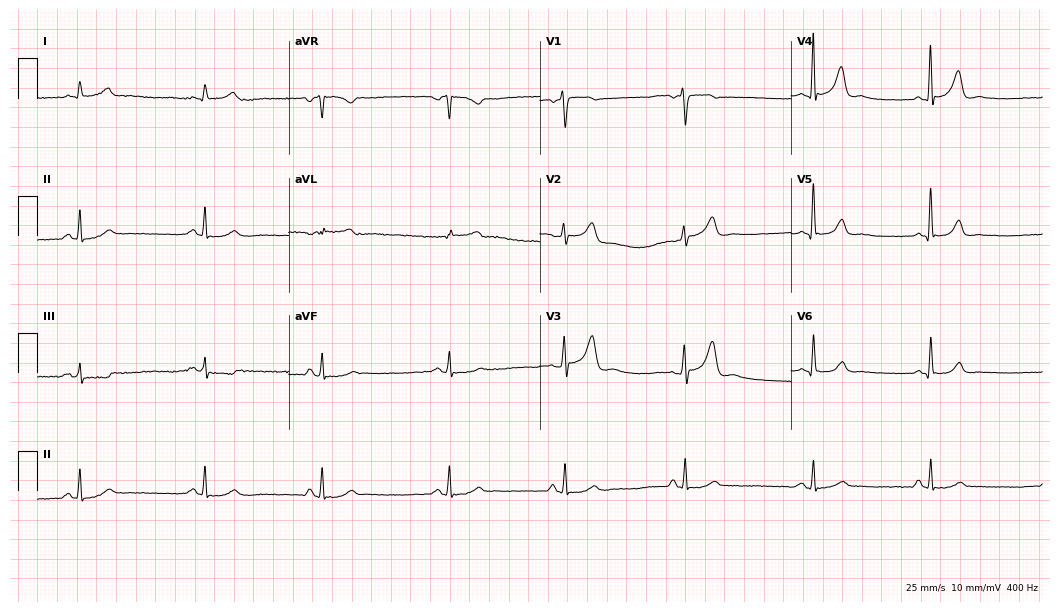
ECG (10.2-second recording at 400 Hz) — a man, 57 years old. Labelled as a normal ECG.